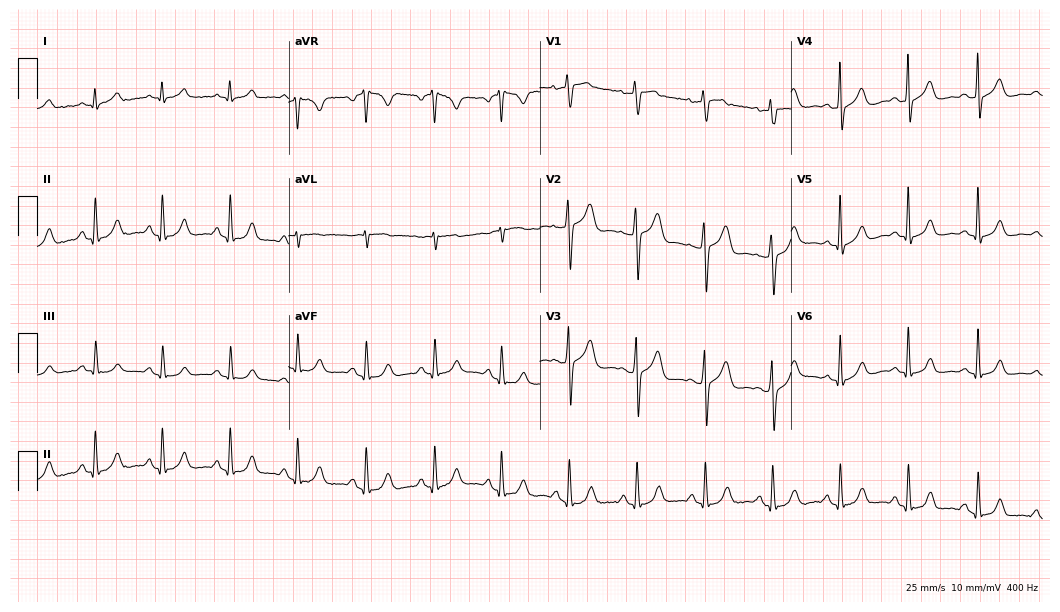
12-lead ECG from a 60-year-old woman (10.2-second recording at 400 Hz). Recorded interpretation: within normal limits.